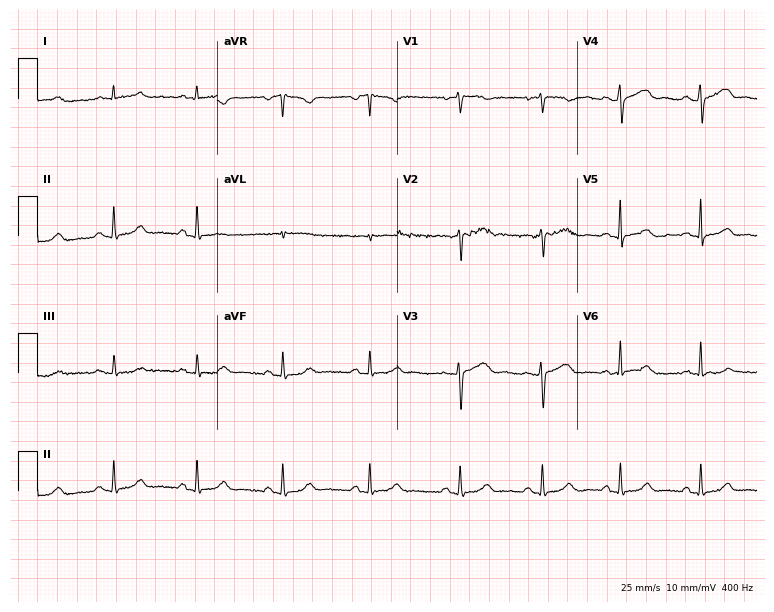
ECG — a female patient, 51 years old. Screened for six findings — first-degree AV block, right bundle branch block (RBBB), left bundle branch block (LBBB), sinus bradycardia, atrial fibrillation (AF), sinus tachycardia — none is recorded. Findings outside these six are not listed.